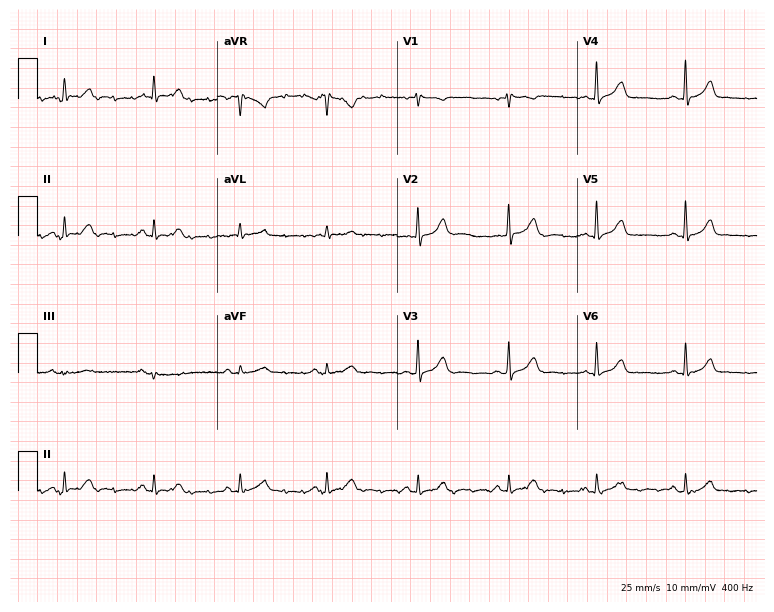
Resting 12-lead electrocardiogram (7.3-second recording at 400 Hz). Patient: a 44-year-old woman. Read as a normal ECG.